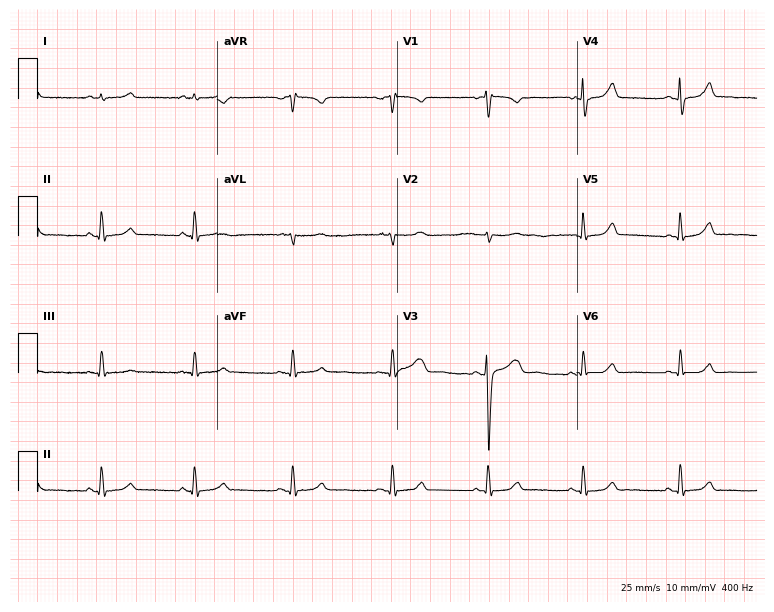
ECG — a female patient, 42 years old. Labelled as a normal ECG.